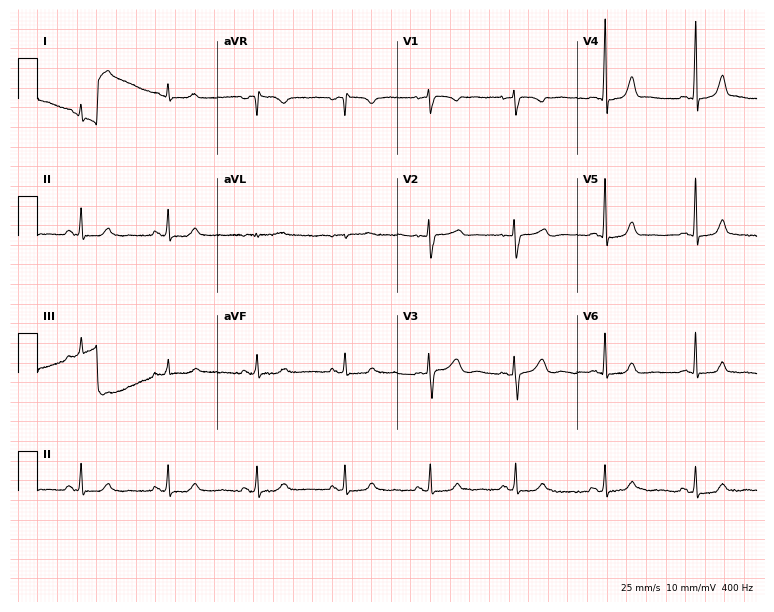
12-lead ECG from a 24-year-old female patient. Labelled as a normal ECG.